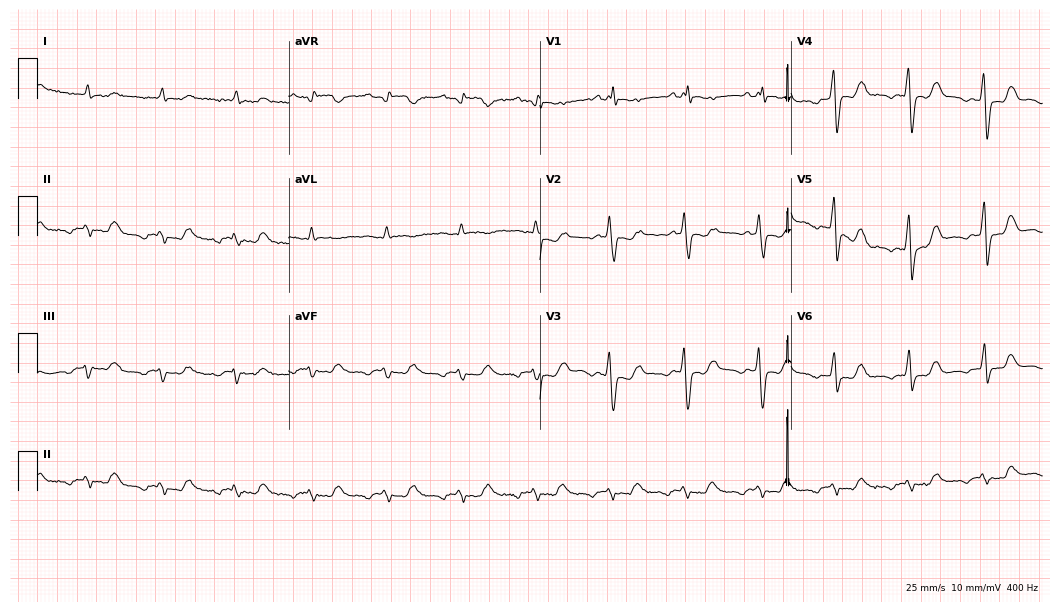
Standard 12-lead ECG recorded from a 75-year-old male. None of these six findings is recorded: first-degree AV block, right bundle branch block (RBBB), left bundle branch block (LBBB), sinus bradycardia, atrial fibrillation (AF), sinus tachycardia. Only these six findings were labelled.